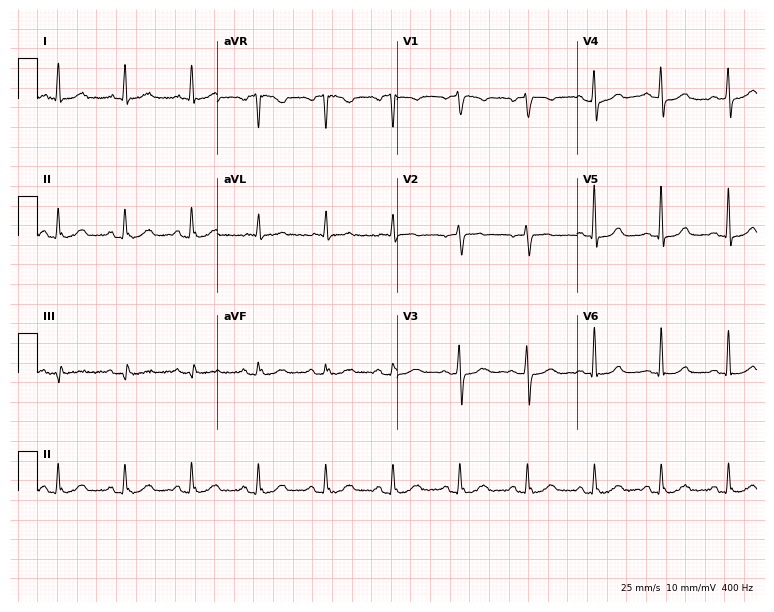
Standard 12-lead ECG recorded from a 72-year-old woman. None of these six findings is recorded: first-degree AV block, right bundle branch block, left bundle branch block, sinus bradycardia, atrial fibrillation, sinus tachycardia. Findings outside these six are not listed.